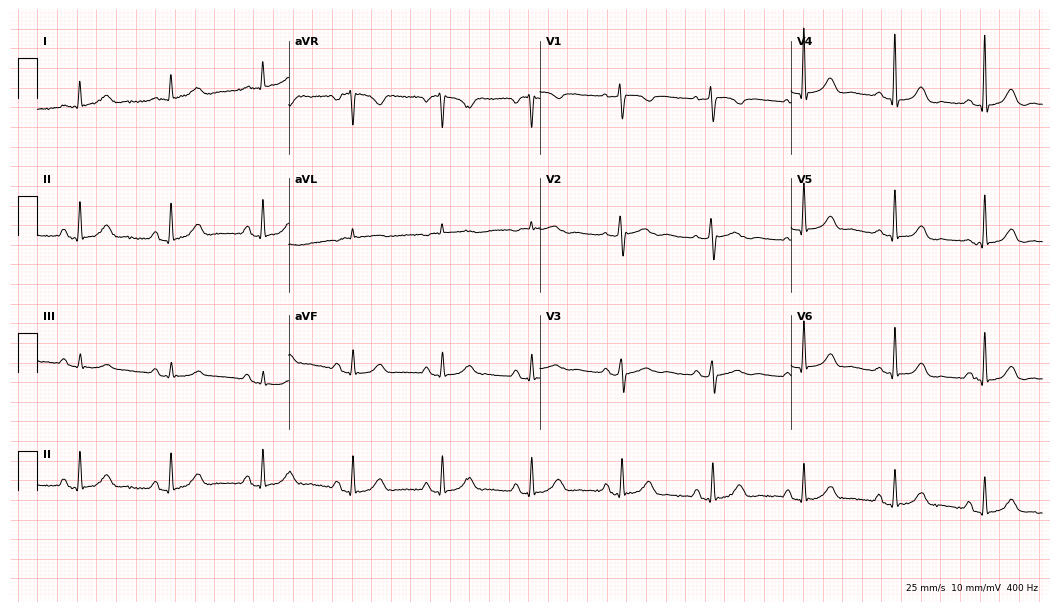
ECG — a 65-year-old female. Labelled as a normal ECG.